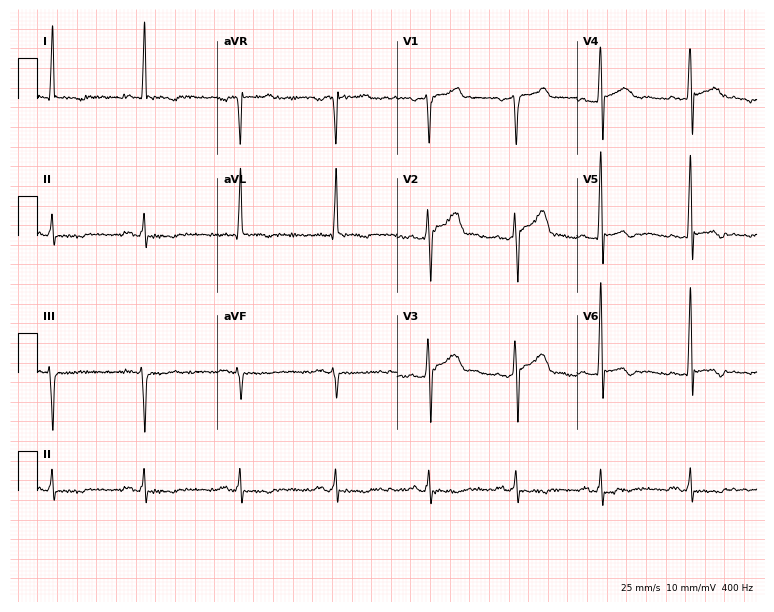
Standard 12-lead ECG recorded from a male patient, 49 years old. None of these six findings is recorded: first-degree AV block, right bundle branch block, left bundle branch block, sinus bradycardia, atrial fibrillation, sinus tachycardia.